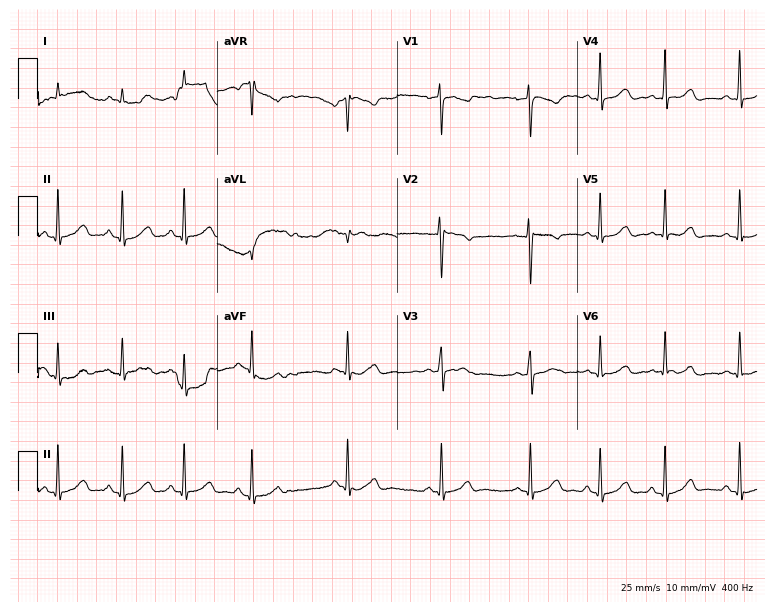
Standard 12-lead ECG recorded from a woman, 22 years old. Read as a normal ECG.